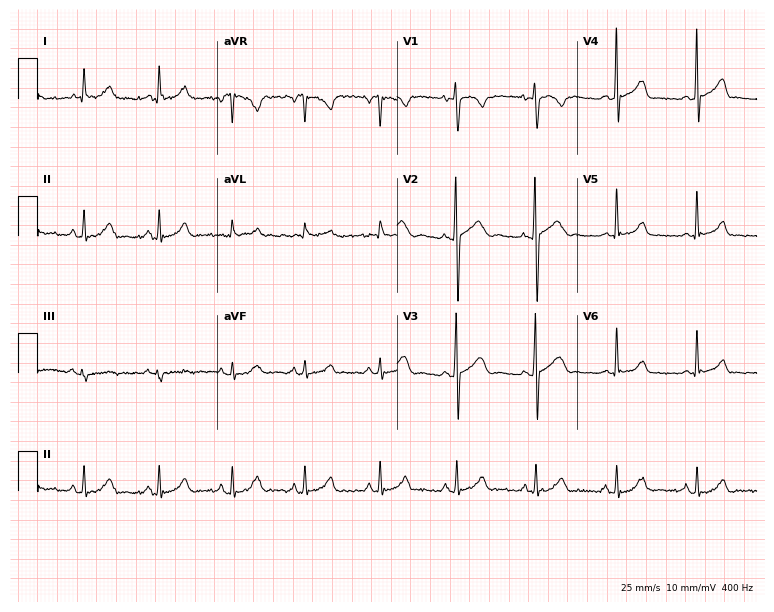
12-lead ECG from a woman, 40 years old. Screened for six findings — first-degree AV block, right bundle branch block, left bundle branch block, sinus bradycardia, atrial fibrillation, sinus tachycardia — none is recorded.